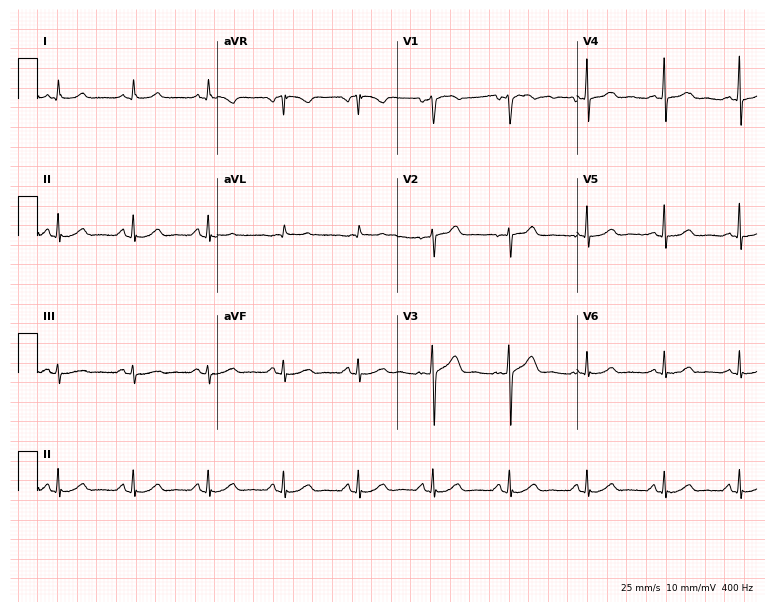
Resting 12-lead electrocardiogram (7.3-second recording at 400 Hz). Patient: a female, 52 years old. Read as a normal ECG.